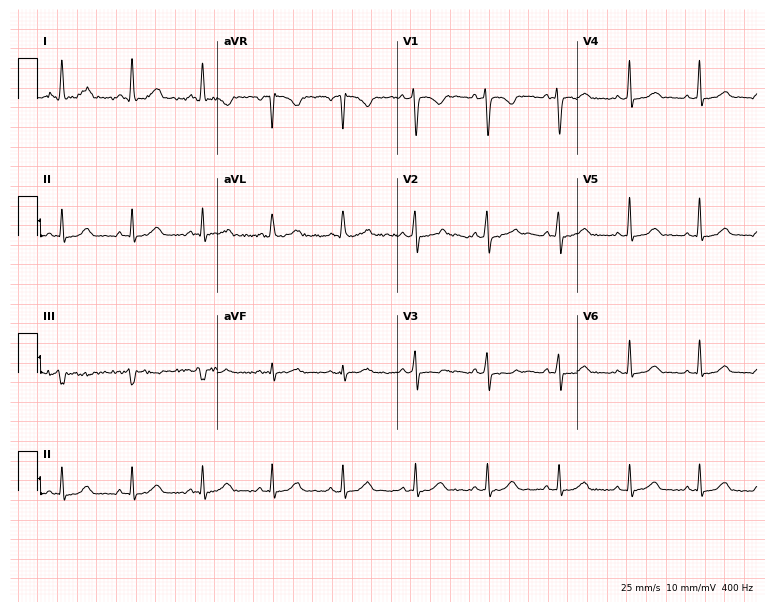
ECG (7.3-second recording at 400 Hz) — a female, 35 years old. Labelled as a normal ECG.